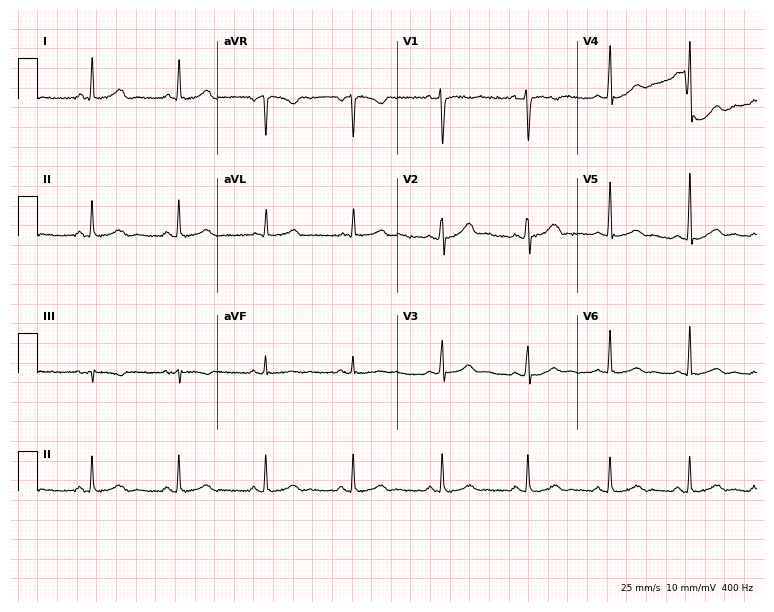
Resting 12-lead electrocardiogram. Patient: a 34-year-old woman. None of these six findings is recorded: first-degree AV block, right bundle branch block, left bundle branch block, sinus bradycardia, atrial fibrillation, sinus tachycardia.